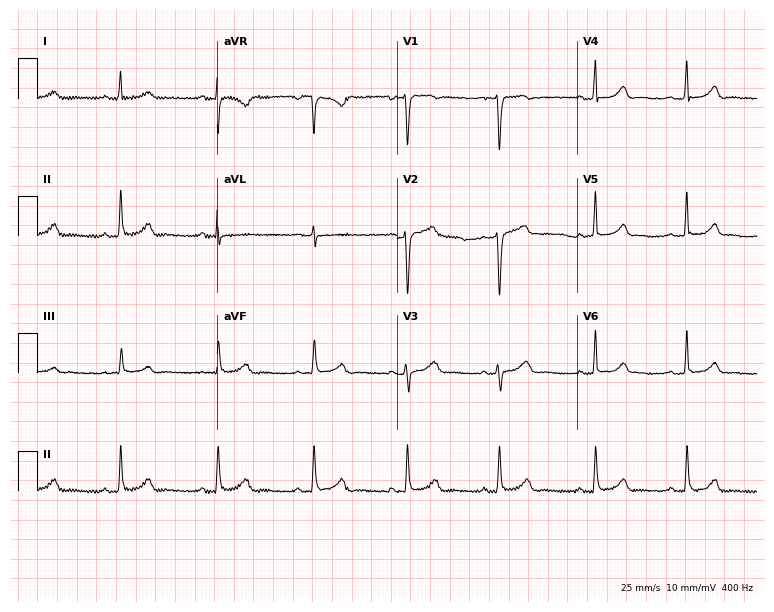
ECG — a 38-year-old woman. Labelled as a normal ECG.